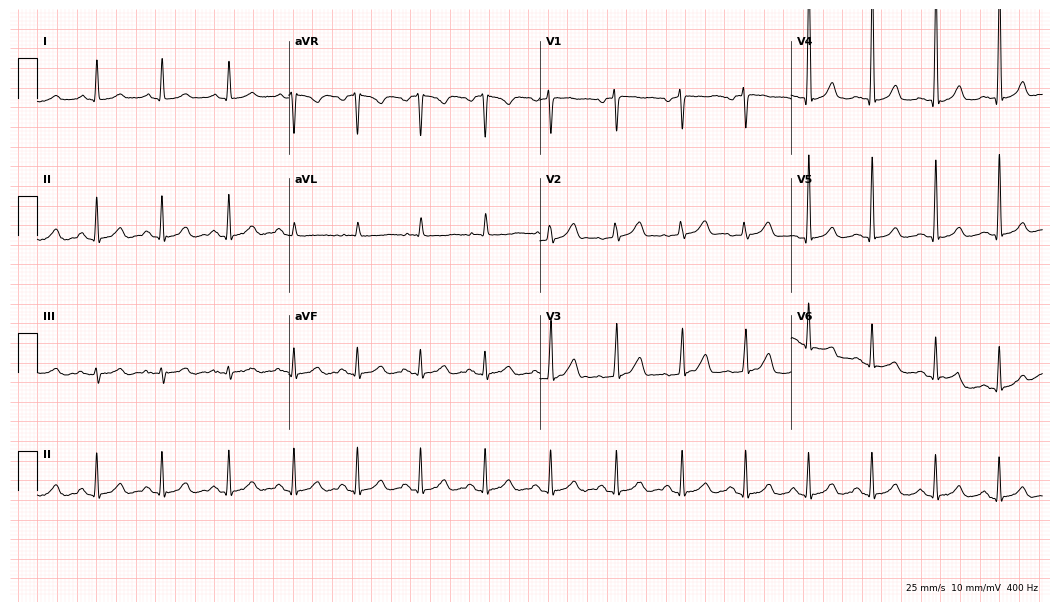
Resting 12-lead electrocardiogram. Patient: a 49-year-old female. Read as a normal ECG.